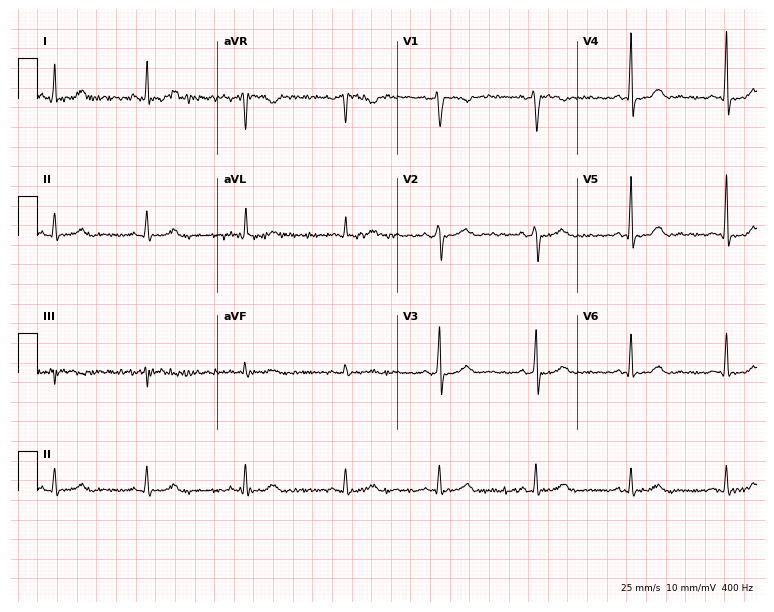
ECG (7.3-second recording at 400 Hz) — a 38-year-old female patient. Screened for six findings — first-degree AV block, right bundle branch block, left bundle branch block, sinus bradycardia, atrial fibrillation, sinus tachycardia — none is recorded.